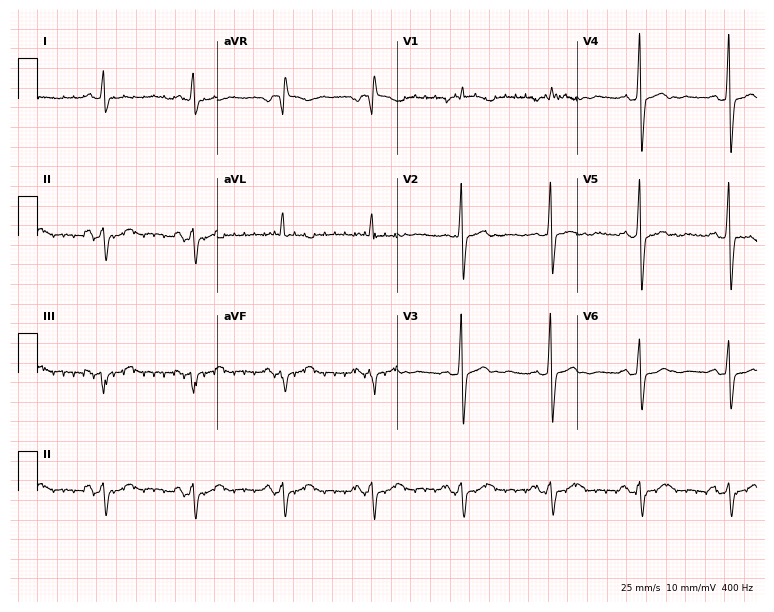
12-lead ECG from a female, 80 years old (7.3-second recording at 400 Hz). No first-degree AV block, right bundle branch block (RBBB), left bundle branch block (LBBB), sinus bradycardia, atrial fibrillation (AF) or sinus tachycardia recorded for this tracing.